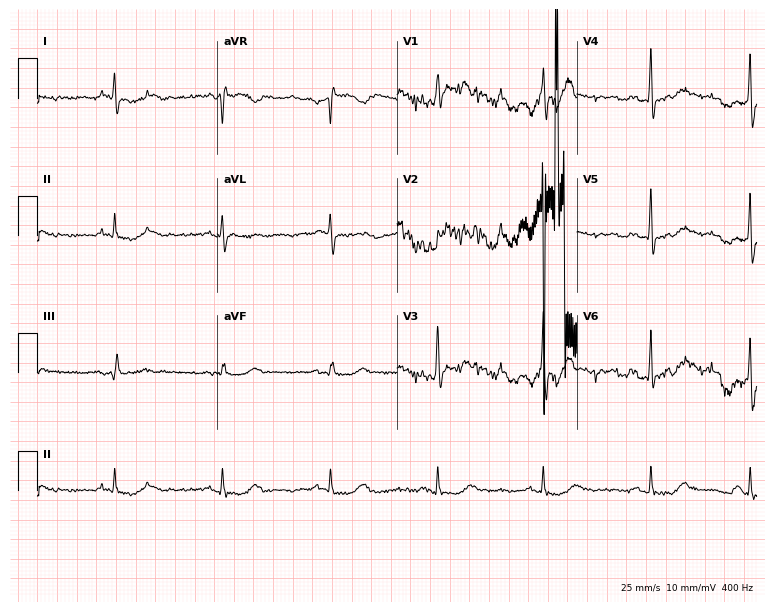
Electrocardiogram (7.3-second recording at 400 Hz), a male patient, 64 years old. Of the six screened findings (first-degree AV block, right bundle branch block, left bundle branch block, sinus bradycardia, atrial fibrillation, sinus tachycardia), none is recorded. Findings outside these six are not listed.